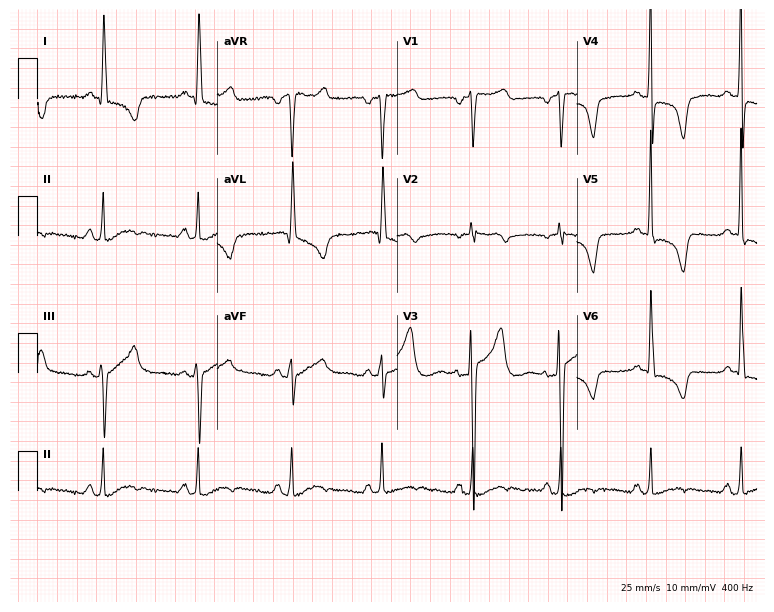
12-lead ECG from a 57-year-old woman. No first-degree AV block, right bundle branch block (RBBB), left bundle branch block (LBBB), sinus bradycardia, atrial fibrillation (AF) or sinus tachycardia recorded for this tracing.